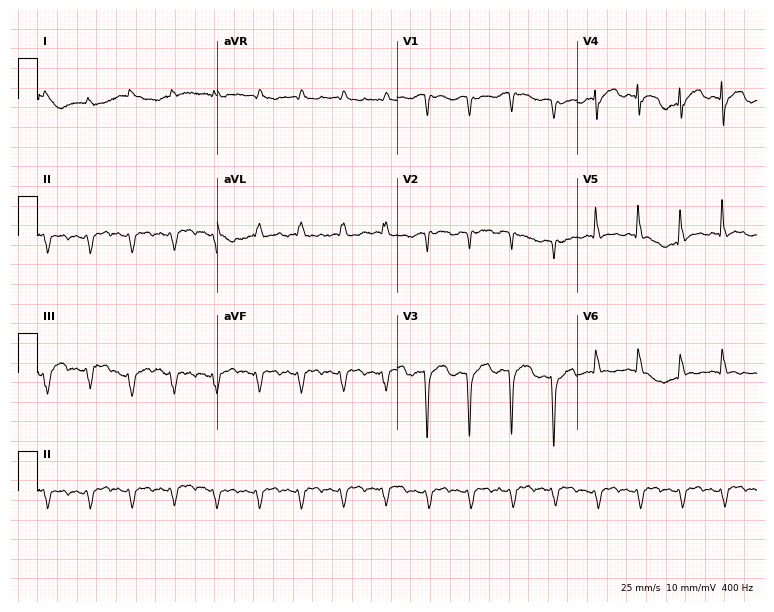
Standard 12-lead ECG recorded from an 84-year-old man. None of these six findings is recorded: first-degree AV block, right bundle branch block (RBBB), left bundle branch block (LBBB), sinus bradycardia, atrial fibrillation (AF), sinus tachycardia. Other findings, if any, are not listed.